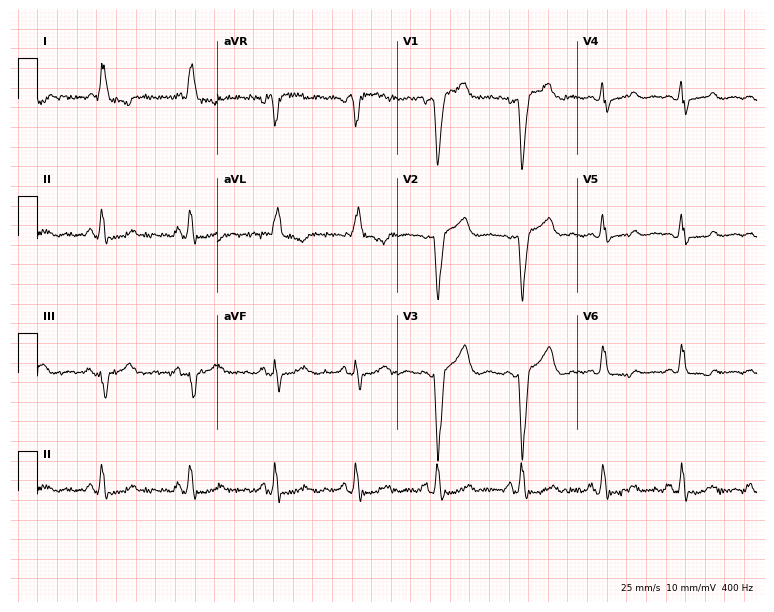
12-lead ECG from a woman, 53 years old. Shows left bundle branch block.